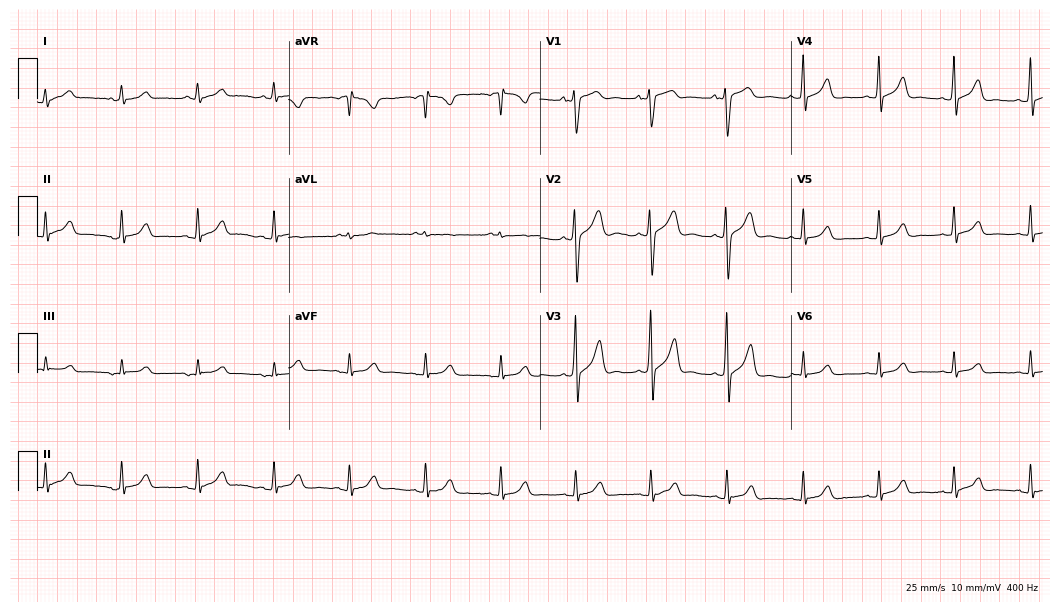
Electrocardiogram, a male, 36 years old. Overall reading on record: normal ECG.